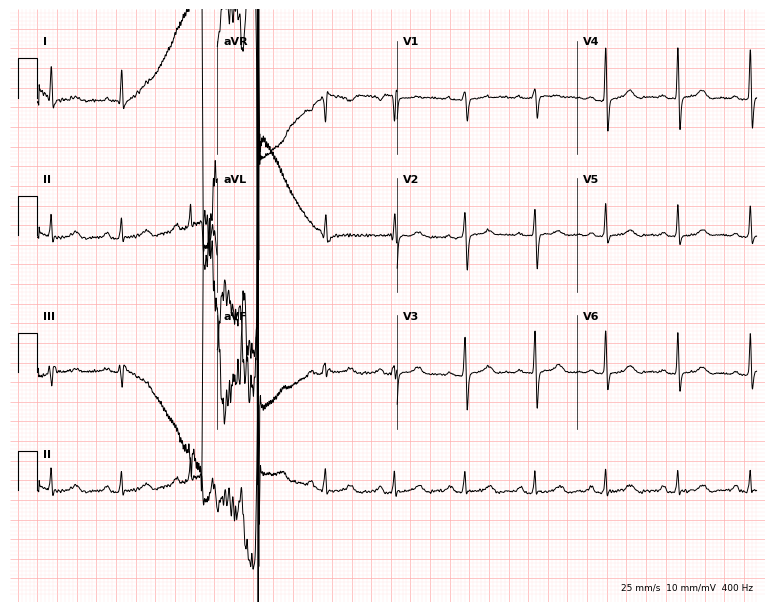
Electrocardiogram (7.3-second recording at 400 Hz), a female, 69 years old. Overall reading on record: normal ECG.